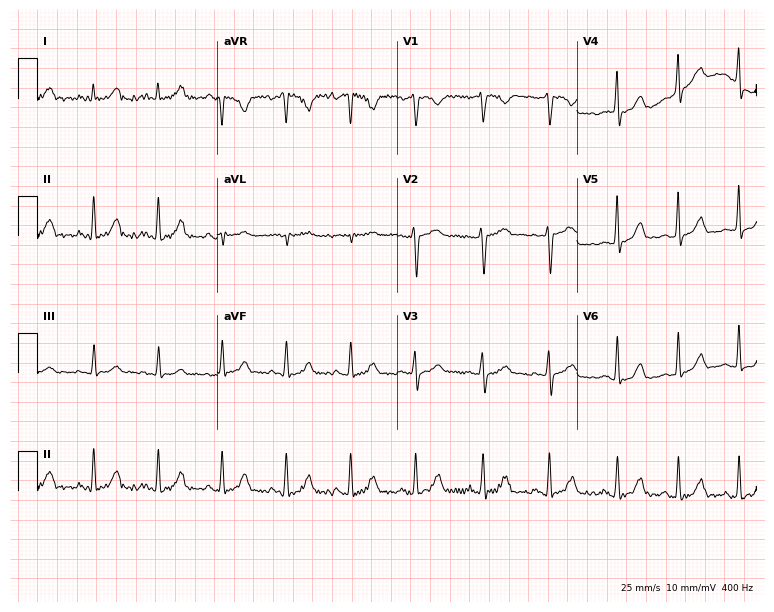
ECG — a female patient, 28 years old. Screened for six findings — first-degree AV block, right bundle branch block (RBBB), left bundle branch block (LBBB), sinus bradycardia, atrial fibrillation (AF), sinus tachycardia — none is recorded.